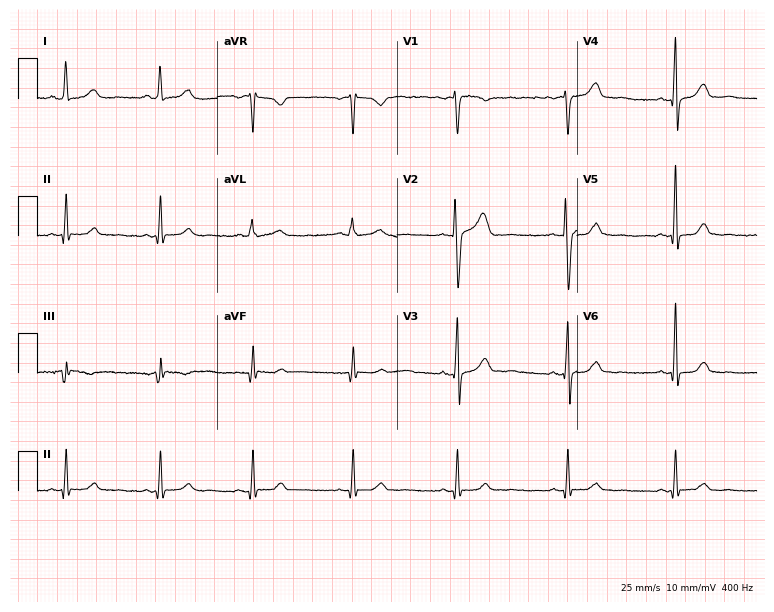
Standard 12-lead ECG recorded from a female, 50 years old (7.3-second recording at 400 Hz). None of these six findings is recorded: first-degree AV block, right bundle branch block, left bundle branch block, sinus bradycardia, atrial fibrillation, sinus tachycardia. Findings outside these six are not listed.